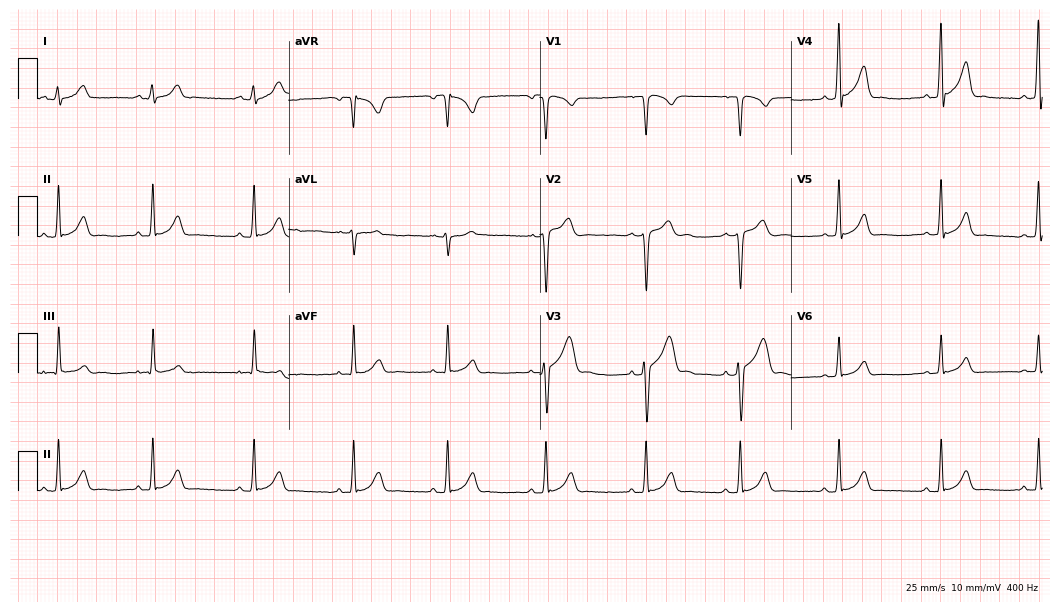
Resting 12-lead electrocardiogram. Patient: a man, 22 years old. Read as a normal ECG.